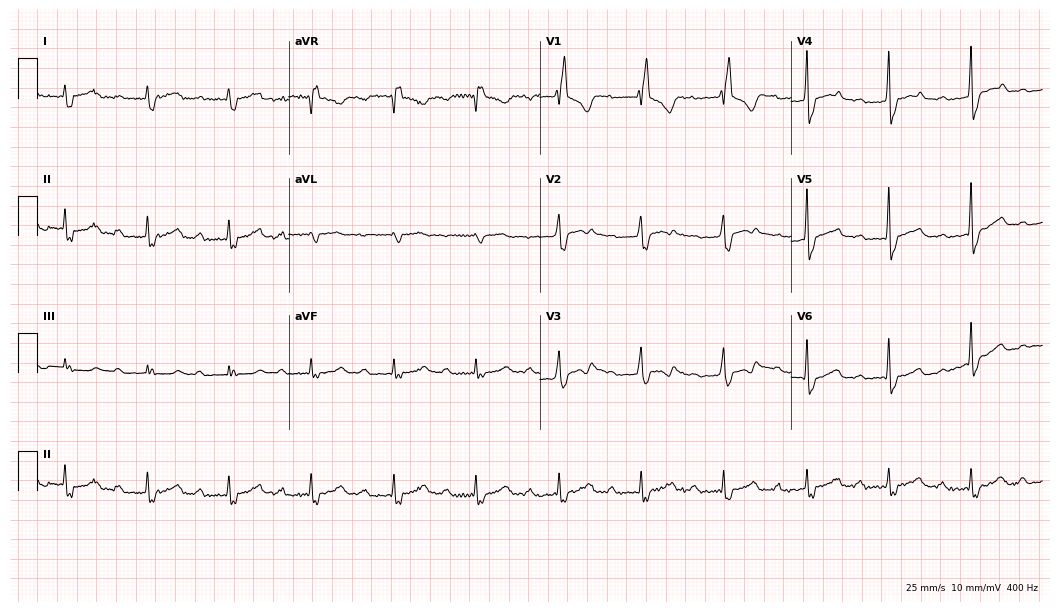
12-lead ECG from a 42-year-old male. Screened for six findings — first-degree AV block, right bundle branch block, left bundle branch block, sinus bradycardia, atrial fibrillation, sinus tachycardia — none is recorded.